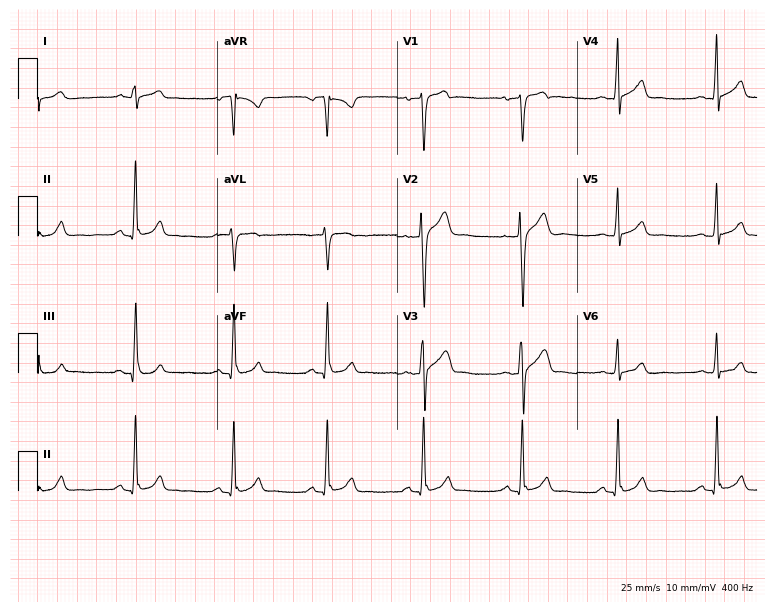
Standard 12-lead ECG recorded from a 28-year-old man. Read as a normal ECG.